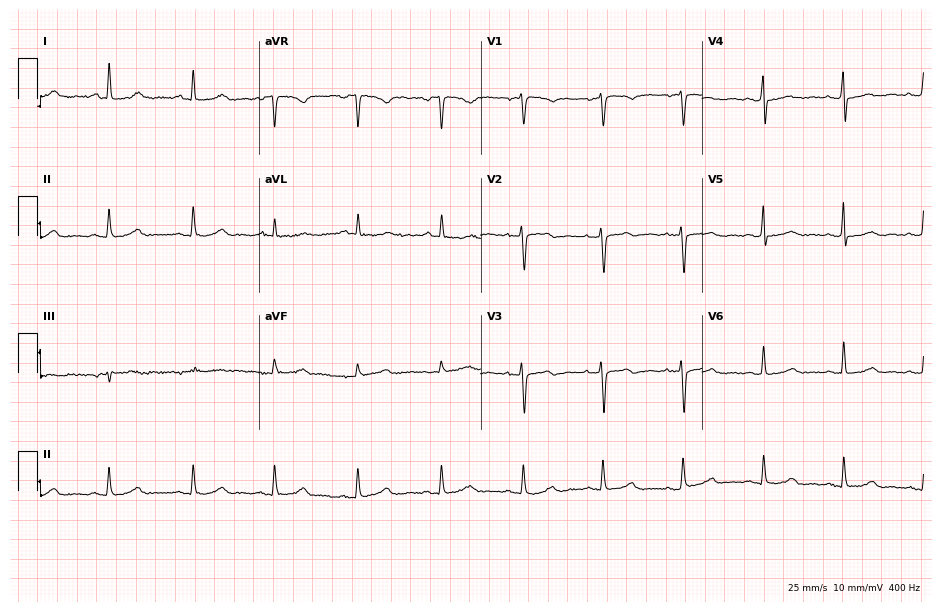
Electrocardiogram (9-second recording at 400 Hz), a female, 54 years old. Of the six screened findings (first-degree AV block, right bundle branch block (RBBB), left bundle branch block (LBBB), sinus bradycardia, atrial fibrillation (AF), sinus tachycardia), none is recorded. Findings outside these six are not listed.